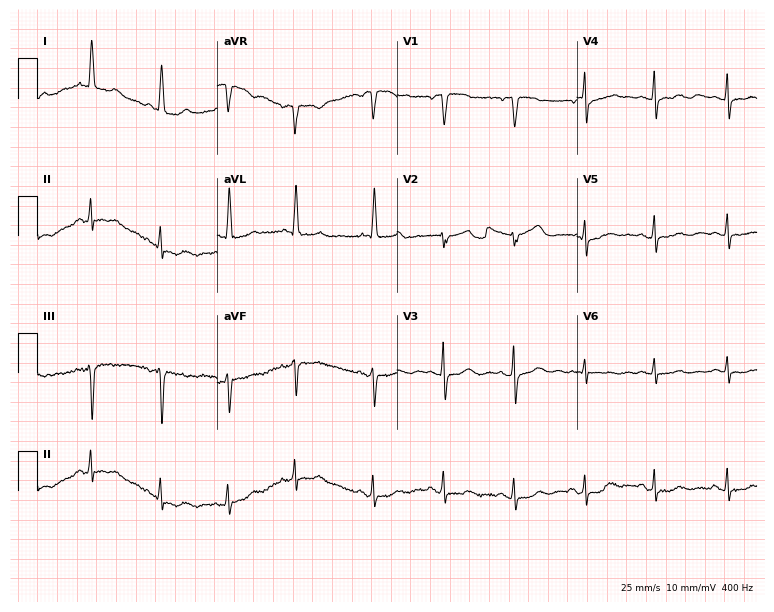
Electrocardiogram (7.3-second recording at 400 Hz), a female, 73 years old. Of the six screened findings (first-degree AV block, right bundle branch block, left bundle branch block, sinus bradycardia, atrial fibrillation, sinus tachycardia), none is recorded.